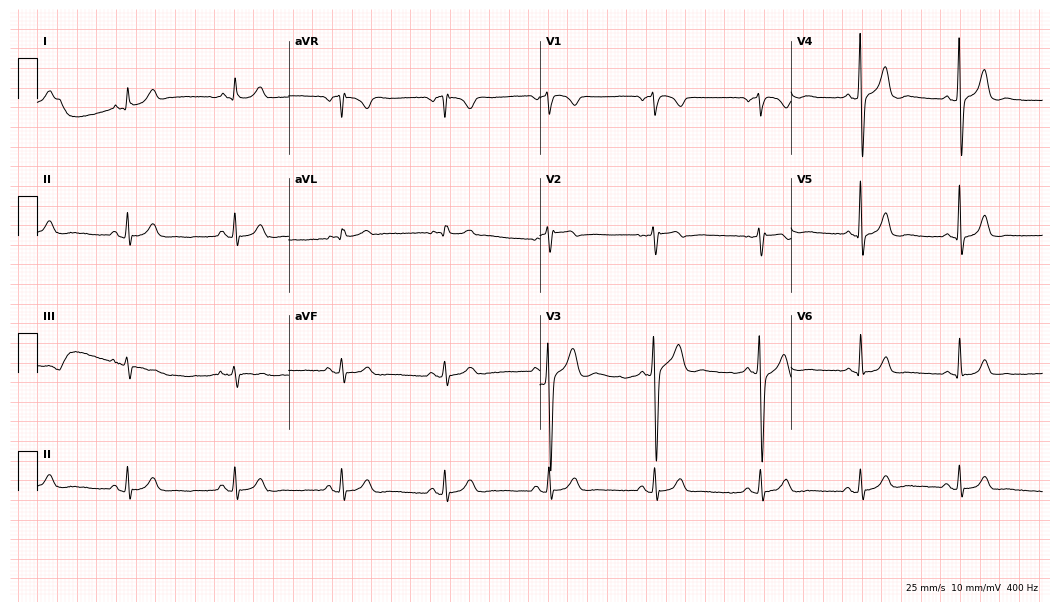
12-lead ECG from a 44-year-old male. Recorded interpretation: within normal limits.